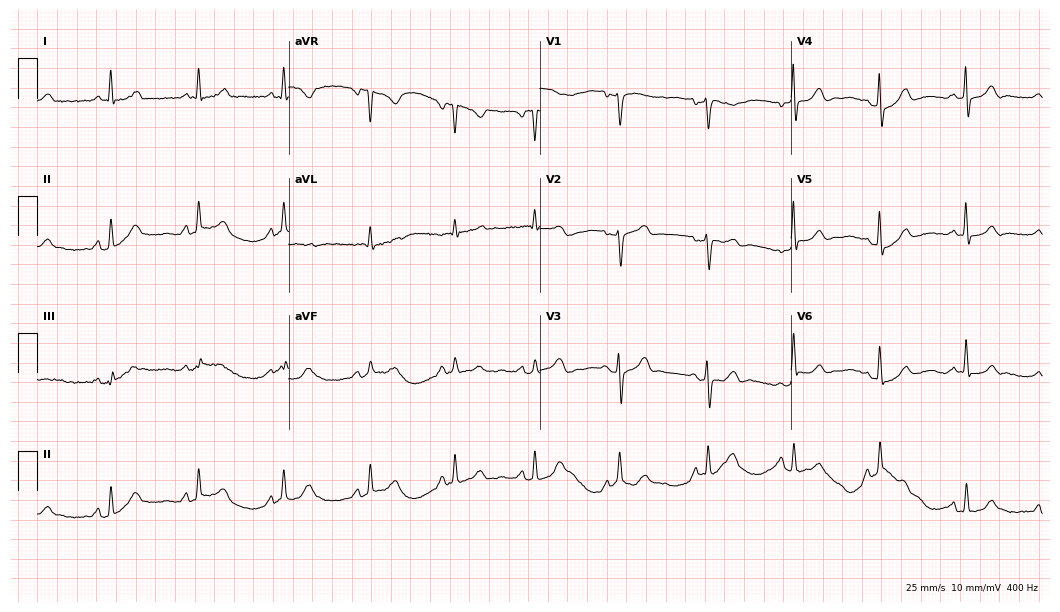
Electrocardiogram (10.2-second recording at 400 Hz), a female patient, 68 years old. Overall reading on record: normal ECG.